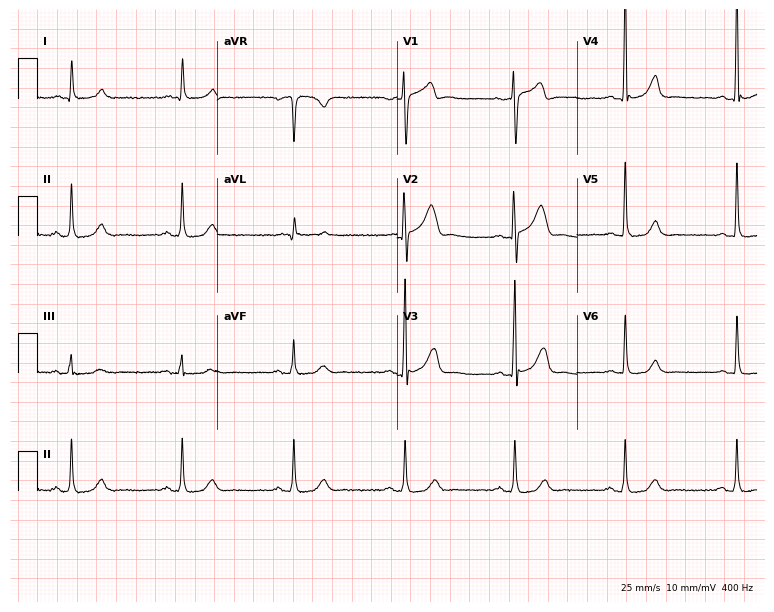
12-lead ECG (7.3-second recording at 400 Hz) from a male, 70 years old. Screened for six findings — first-degree AV block, right bundle branch block, left bundle branch block, sinus bradycardia, atrial fibrillation, sinus tachycardia — none is recorded. Only these six findings were labelled.